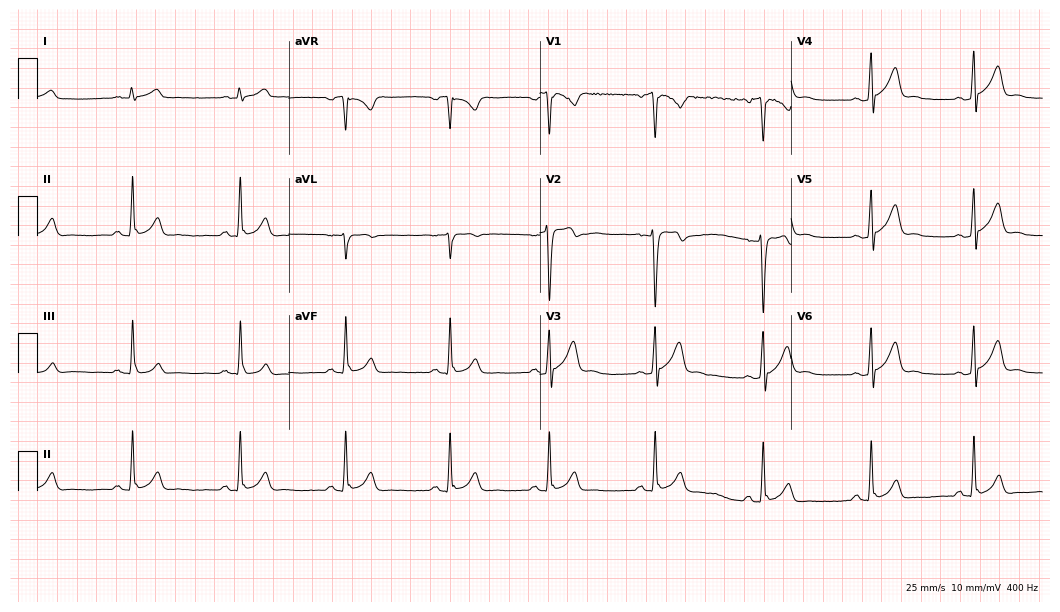
Electrocardiogram (10.2-second recording at 400 Hz), a male patient, 19 years old. Overall reading on record: normal ECG.